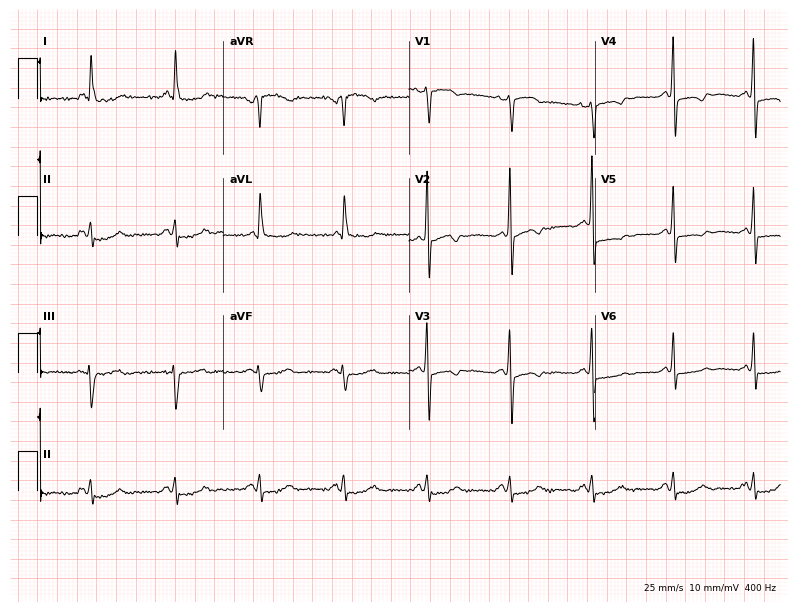
12-lead ECG from a female patient, 67 years old (7.6-second recording at 400 Hz). No first-degree AV block, right bundle branch block, left bundle branch block, sinus bradycardia, atrial fibrillation or sinus tachycardia recorded for this tracing.